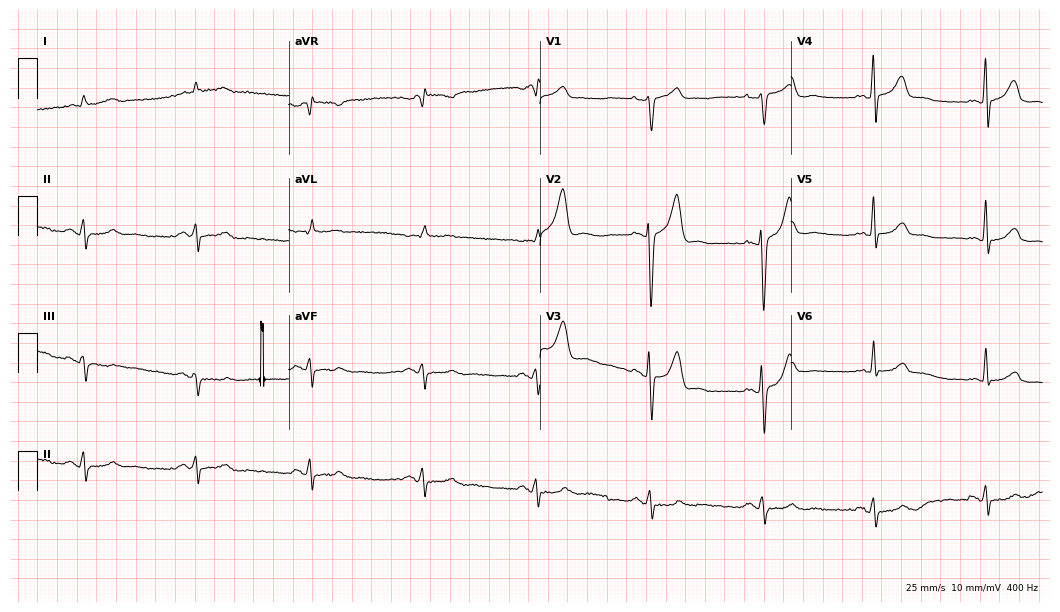
ECG — a 59-year-old male patient. Screened for six findings — first-degree AV block, right bundle branch block, left bundle branch block, sinus bradycardia, atrial fibrillation, sinus tachycardia — none is recorded.